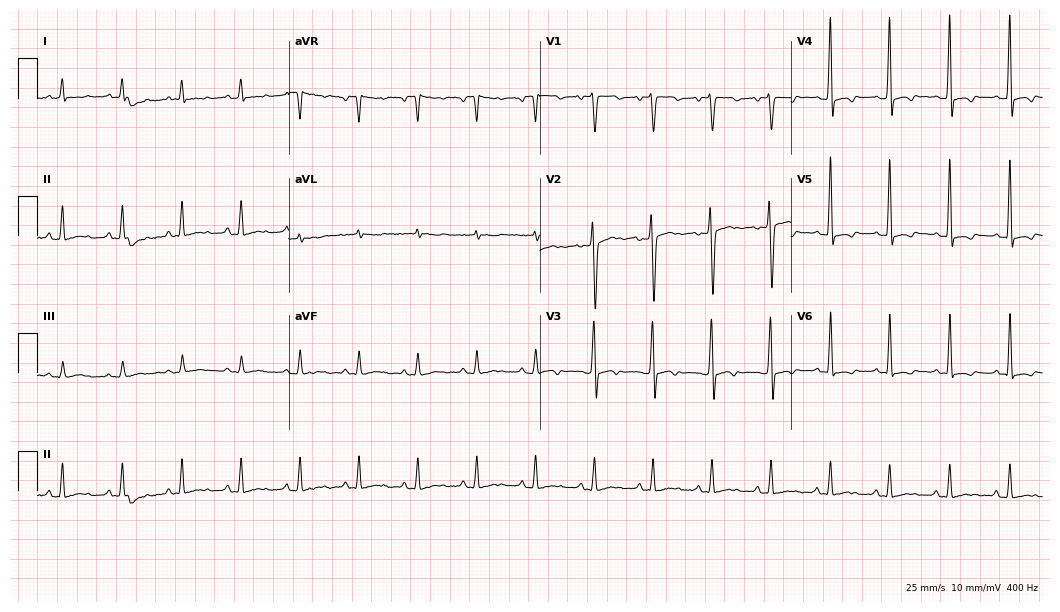
ECG (10.2-second recording at 400 Hz) — a 36-year-old man. Screened for six findings — first-degree AV block, right bundle branch block, left bundle branch block, sinus bradycardia, atrial fibrillation, sinus tachycardia — none is recorded.